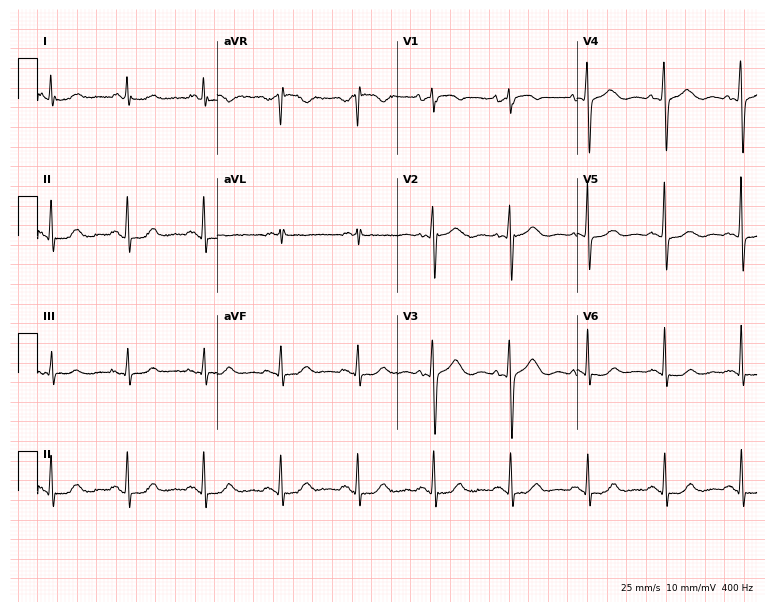
12-lead ECG (7.3-second recording at 400 Hz) from a 71-year-old female. Labelled as a normal ECG.